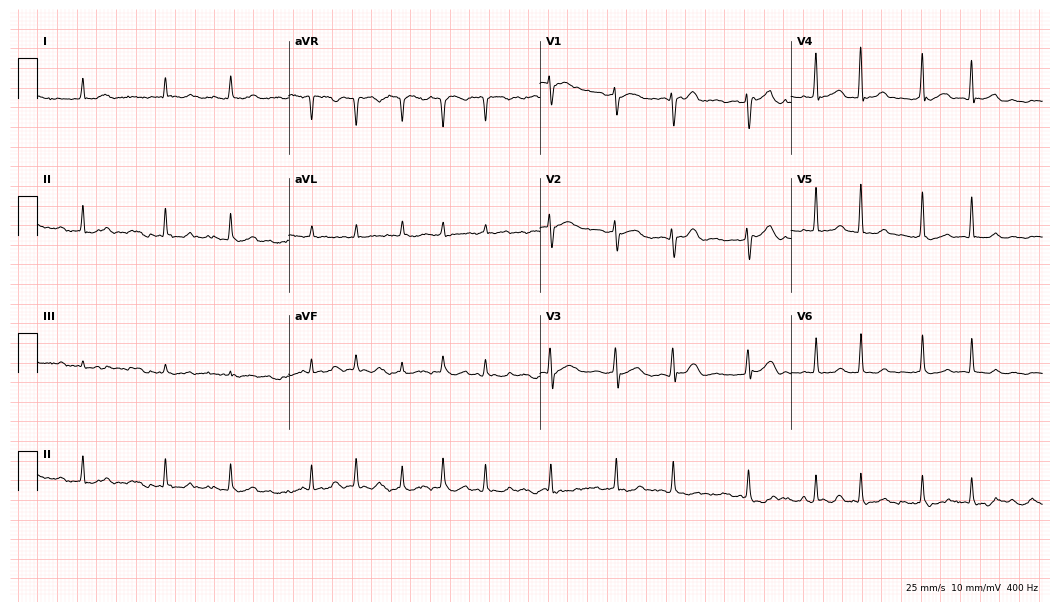
Standard 12-lead ECG recorded from a male patient, 66 years old. None of these six findings is recorded: first-degree AV block, right bundle branch block (RBBB), left bundle branch block (LBBB), sinus bradycardia, atrial fibrillation (AF), sinus tachycardia. Other findings, if any, are not listed.